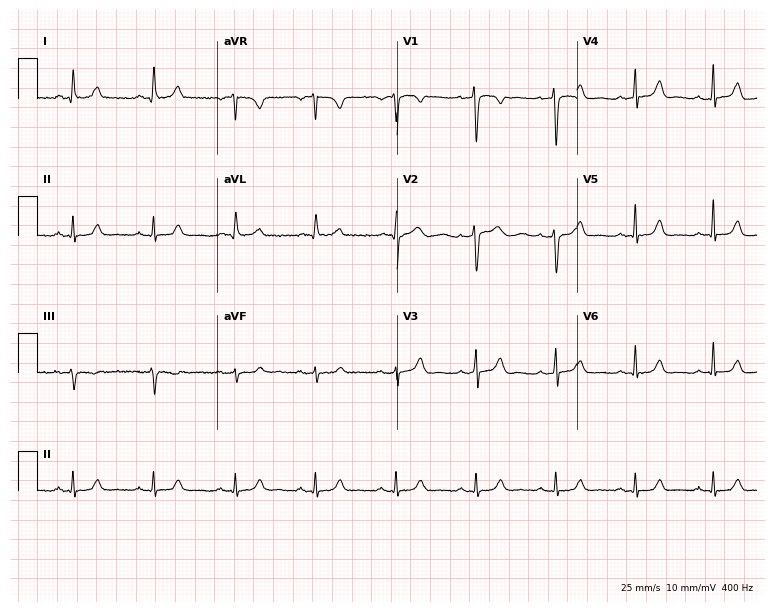
12-lead ECG from a woman, 46 years old (7.3-second recording at 400 Hz). Recorded interpretation: within normal limits.